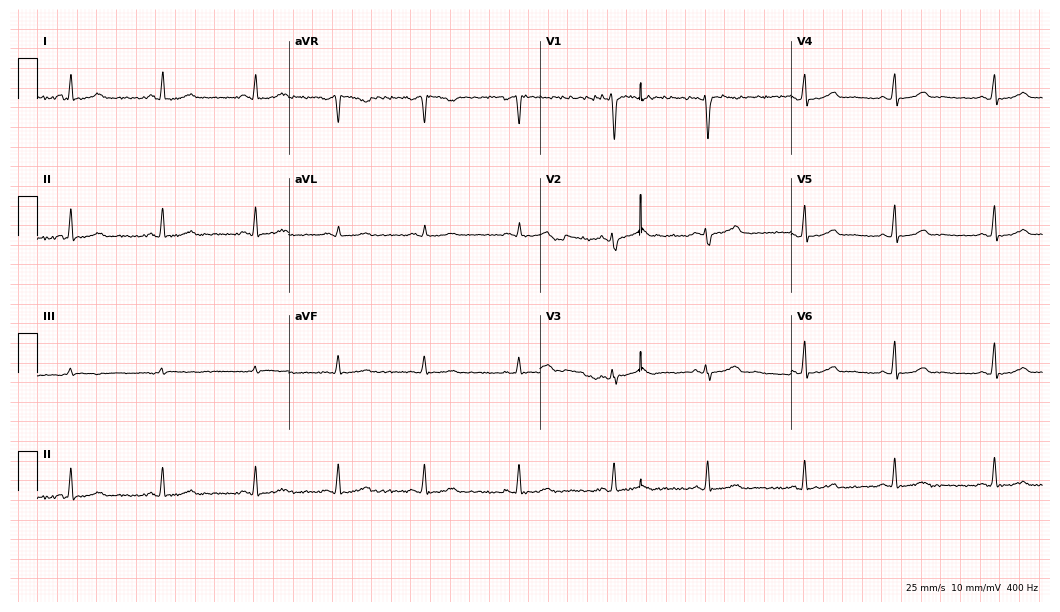
Resting 12-lead electrocardiogram. Patient: a woman, 29 years old. None of these six findings is recorded: first-degree AV block, right bundle branch block, left bundle branch block, sinus bradycardia, atrial fibrillation, sinus tachycardia.